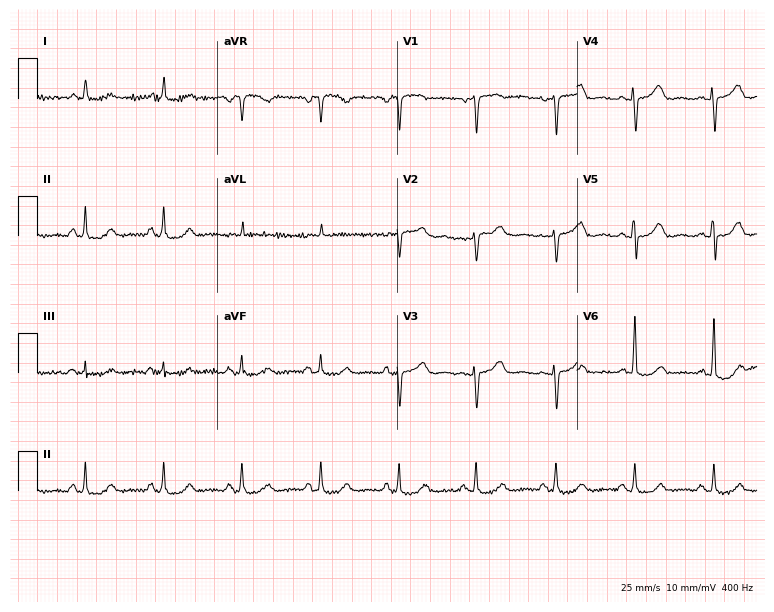
12-lead ECG from a 68-year-old female patient (7.3-second recording at 400 Hz). Recorded interpretation: within normal limits.